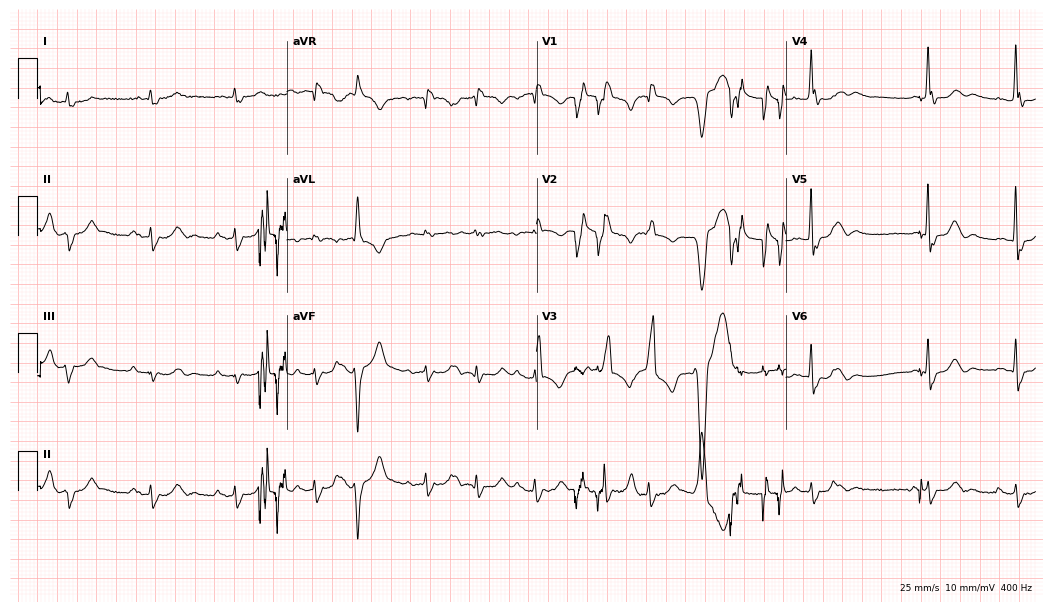
ECG (10.2-second recording at 400 Hz) — a male, 80 years old. Findings include right bundle branch block, sinus tachycardia (a sinus rate of 100 beats per minute or more).